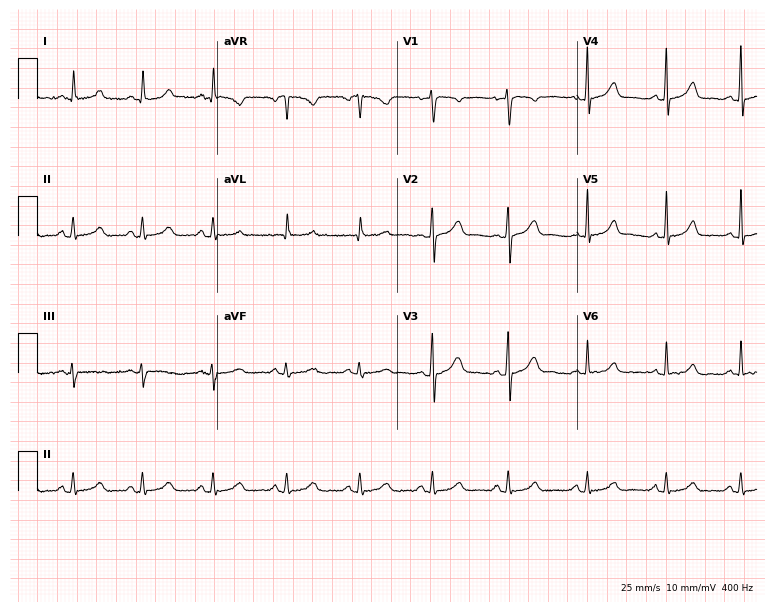
ECG — a 53-year-old female patient. Labelled as a normal ECG.